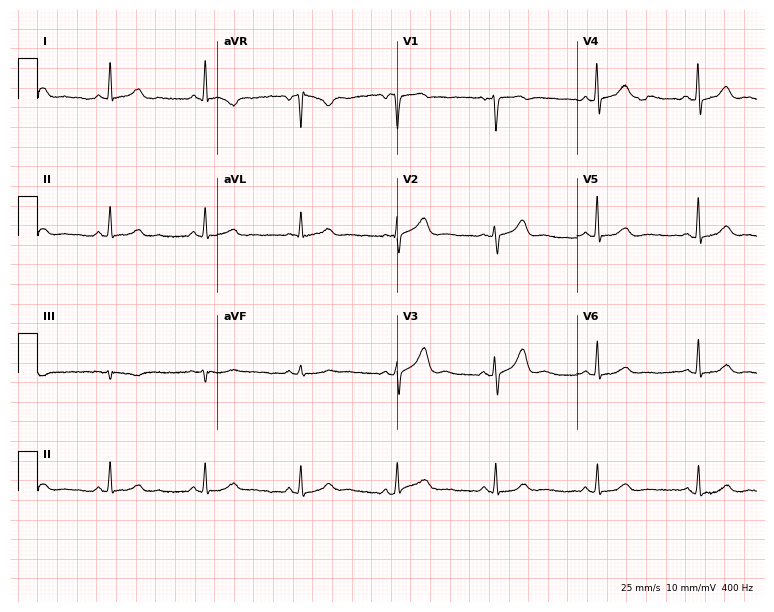
Resting 12-lead electrocardiogram. Patient: a woman, 60 years old. Read as a normal ECG.